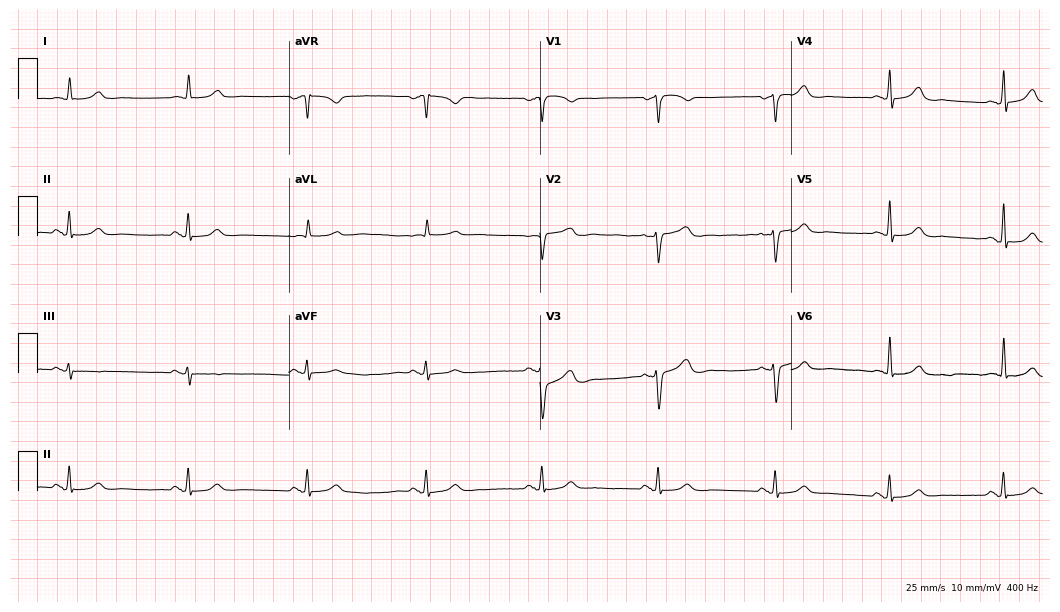
12-lead ECG (10.2-second recording at 400 Hz) from a 69-year-old female. Labelled as a normal ECG.